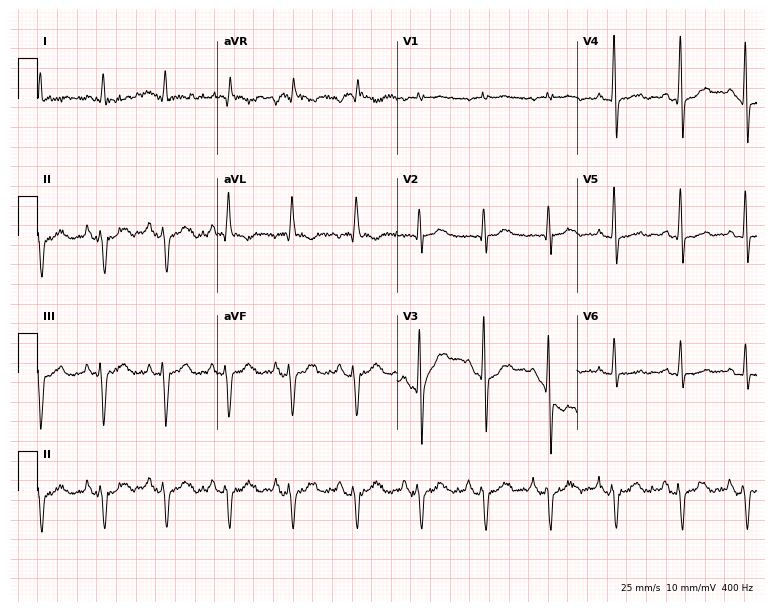
Resting 12-lead electrocardiogram (7.3-second recording at 400 Hz). Patient: an 80-year-old male. None of these six findings is recorded: first-degree AV block, right bundle branch block, left bundle branch block, sinus bradycardia, atrial fibrillation, sinus tachycardia.